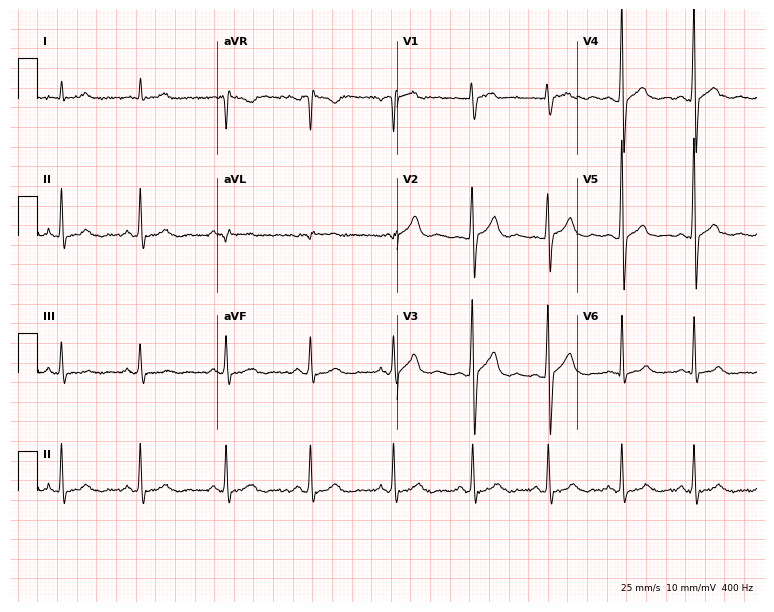
12-lead ECG from a man, 26 years old (7.3-second recording at 400 Hz). Recorded interpretation: within normal limits.